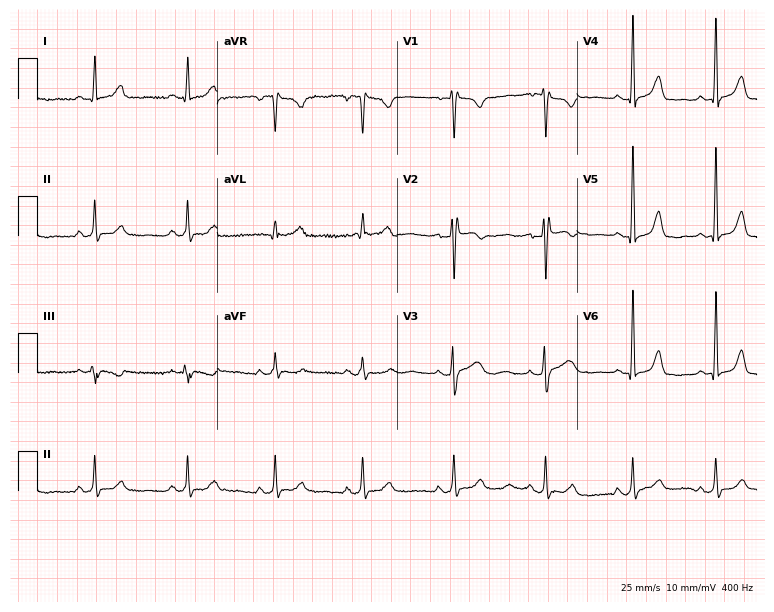
12-lead ECG from a female patient, 45 years old. No first-degree AV block, right bundle branch block, left bundle branch block, sinus bradycardia, atrial fibrillation or sinus tachycardia recorded for this tracing.